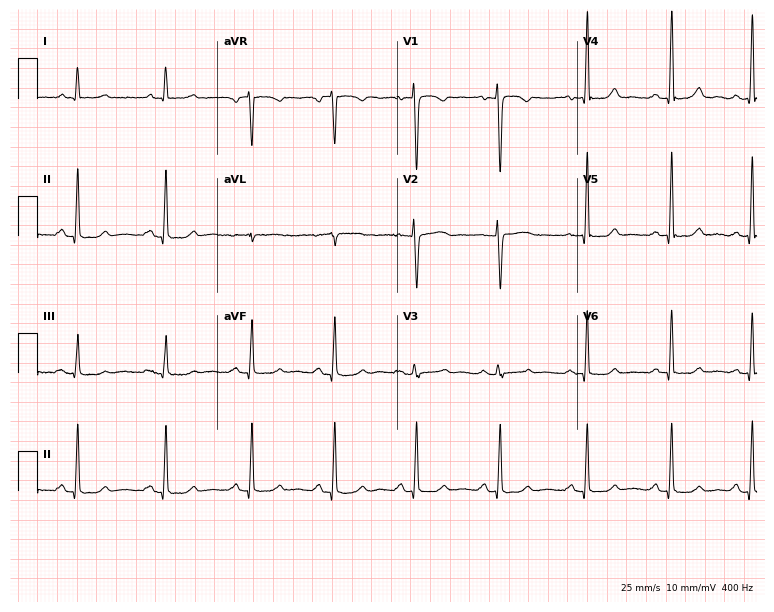
ECG — a female, 54 years old. Screened for six findings — first-degree AV block, right bundle branch block, left bundle branch block, sinus bradycardia, atrial fibrillation, sinus tachycardia — none is recorded.